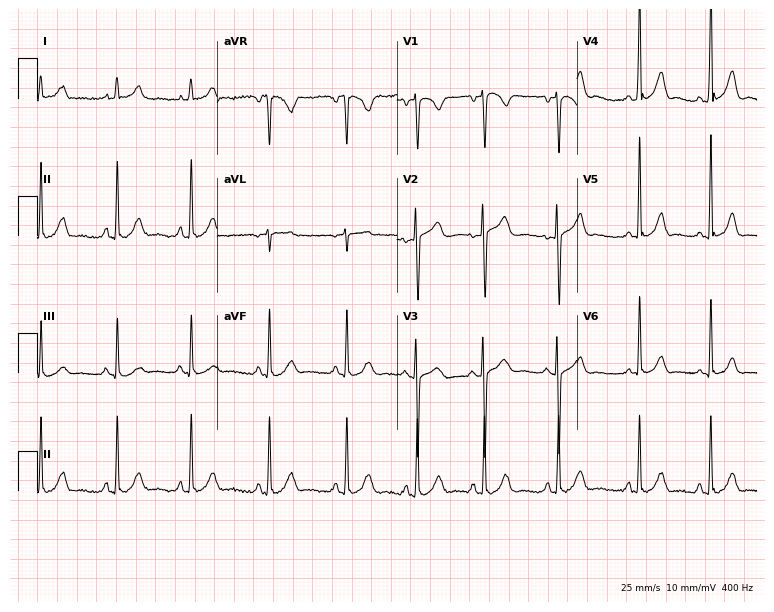
Resting 12-lead electrocardiogram (7.3-second recording at 400 Hz). Patient: a female, 22 years old. Read as a normal ECG.